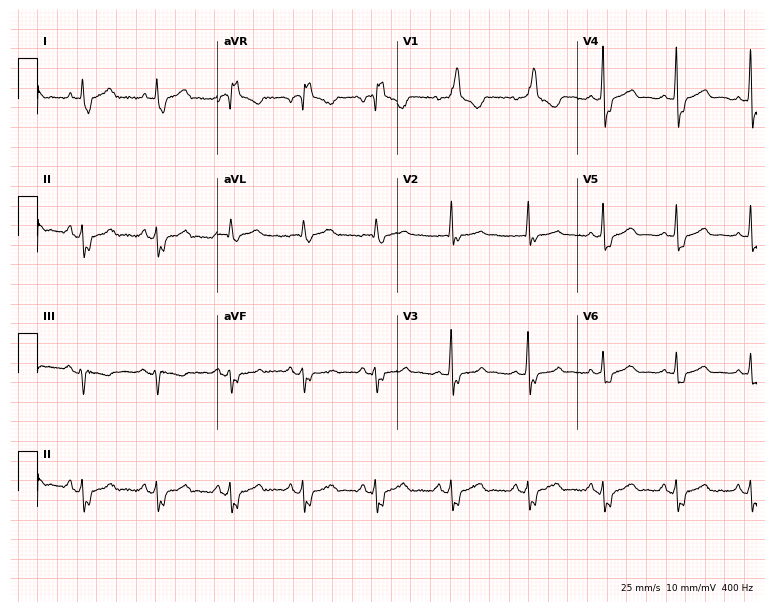
12-lead ECG from a 73-year-old male patient. Findings include right bundle branch block.